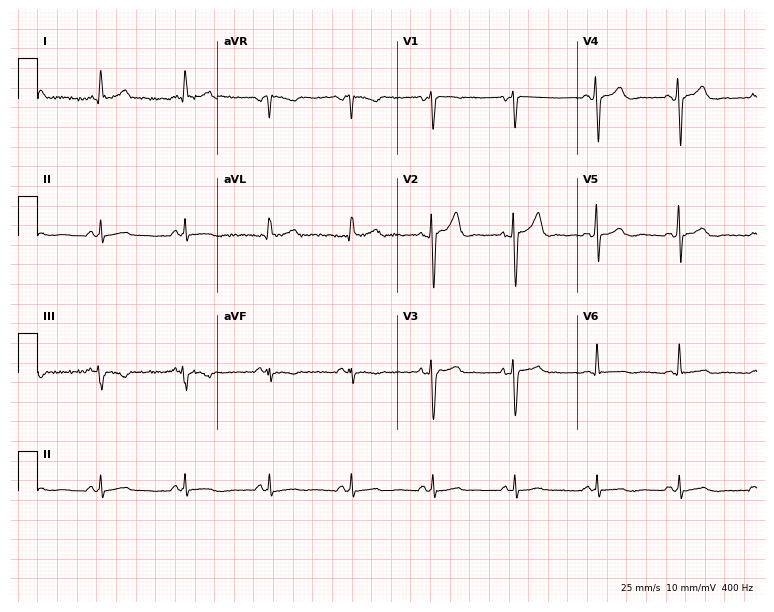
Standard 12-lead ECG recorded from a man, 46 years old (7.3-second recording at 400 Hz). None of these six findings is recorded: first-degree AV block, right bundle branch block, left bundle branch block, sinus bradycardia, atrial fibrillation, sinus tachycardia.